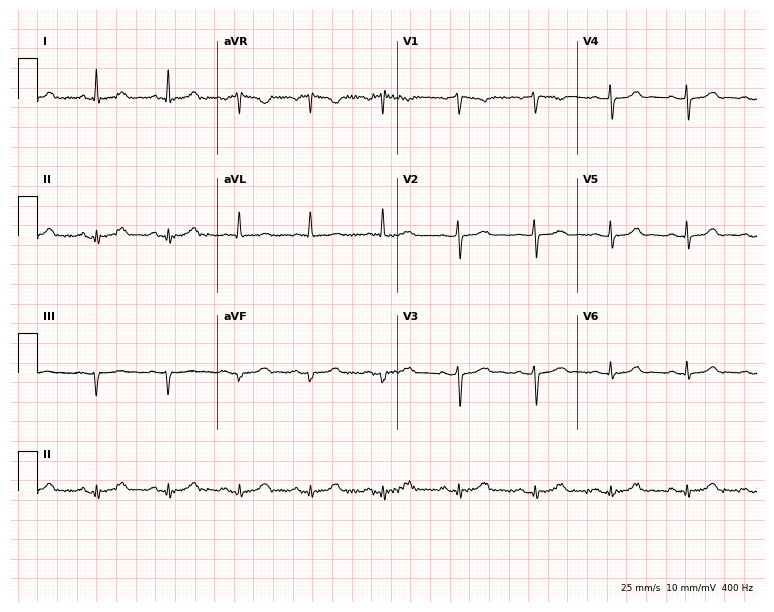
12-lead ECG from a female patient, 39 years old (7.3-second recording at 400 Hz). Recorded interpretation: within normal limits.